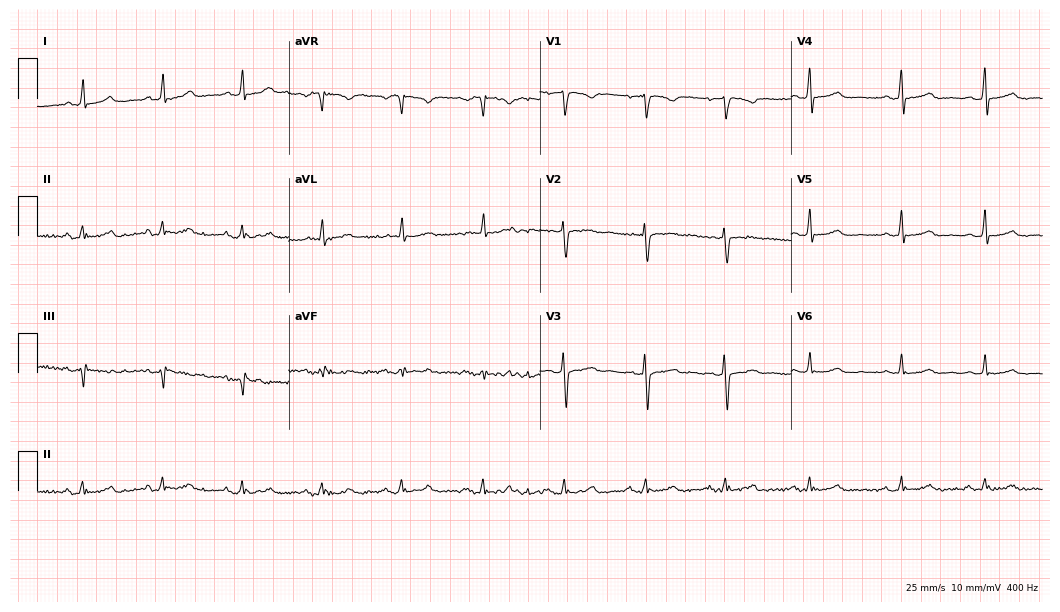
Resting 12-lead electrocardiogram (10.2-second recording at 400 Hz). Patient: a female, 46 years old. None of these six findings is recorded: first-degree AV block, right bundle branch block (RBBB), left bundle branch block (LBBB), sinus bradycardia, atrial fibrillation (AF), sinus tachycardia. Findings outside these six are not listed.